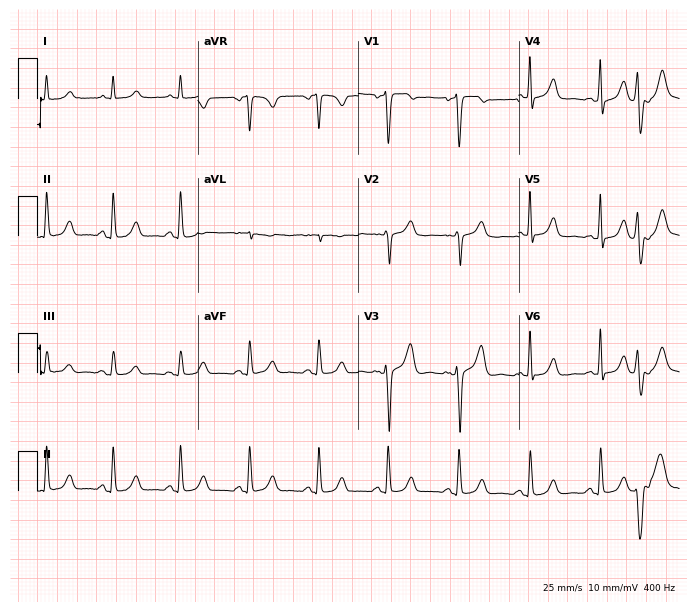
12-lead ECG from a female, 67 years old. Screened for six findings — first-degree AV block, right bundle branch block (RBBB), left bundle branch block (LBBB), sinus bradycardia, atrial fibrillation (AF), sinus tachycardia — none is recorded. Findings outside these six are not listed.